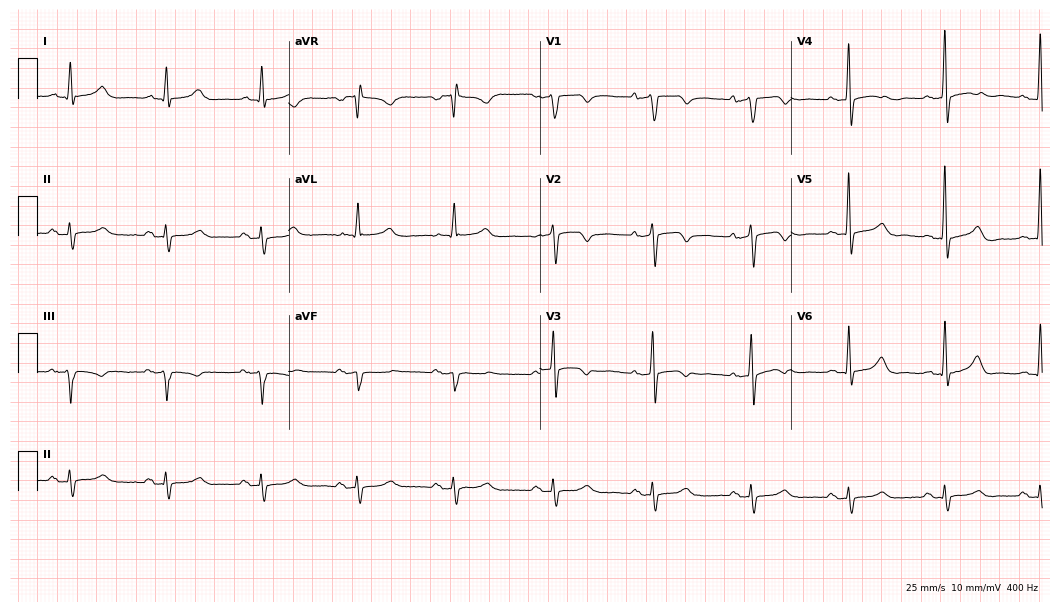
12-lead ECG (10.2-second recording at 400 Hz) from a male patient, 83 years old. Labelled as a normal ECG.